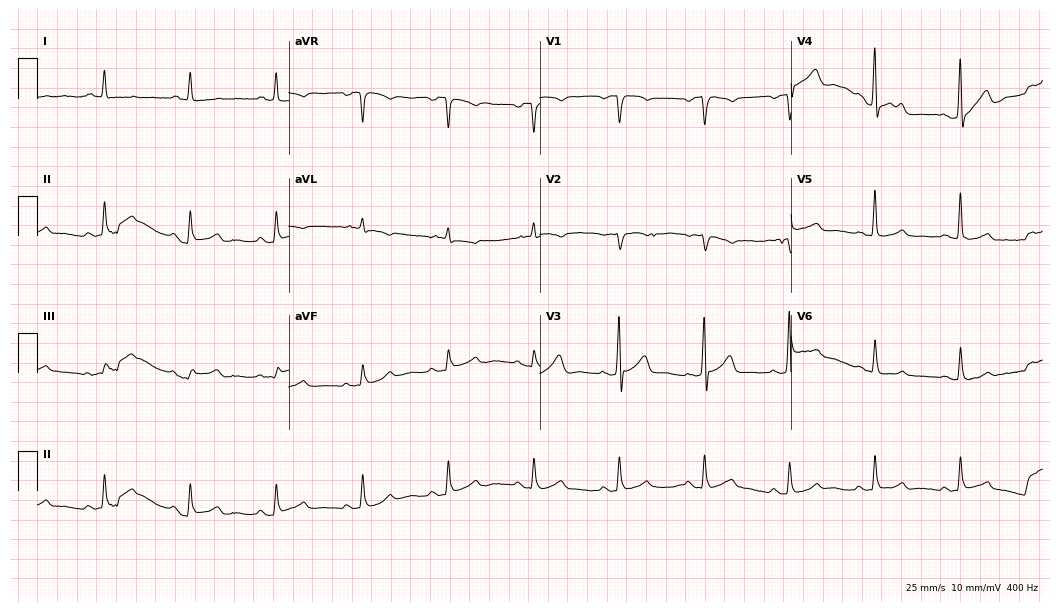
Electrocardiogram (10.2-second recording at 400 Hz), a man, 60 years old. Of the six screened findings (first-degree AV block, right bundle branch block, left bundle branch block, sinus bradycardia, atrial fibrillation, sinus tachycardia), none is recorded.